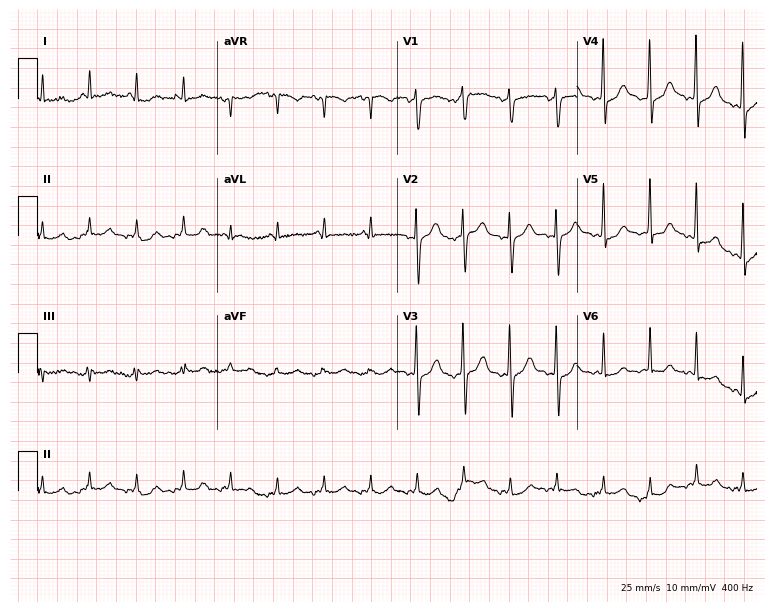
12-lead ECG from a man, 64 years old. Shows sinus tachycardia (a sinus rate of 100 beats per minute or more).